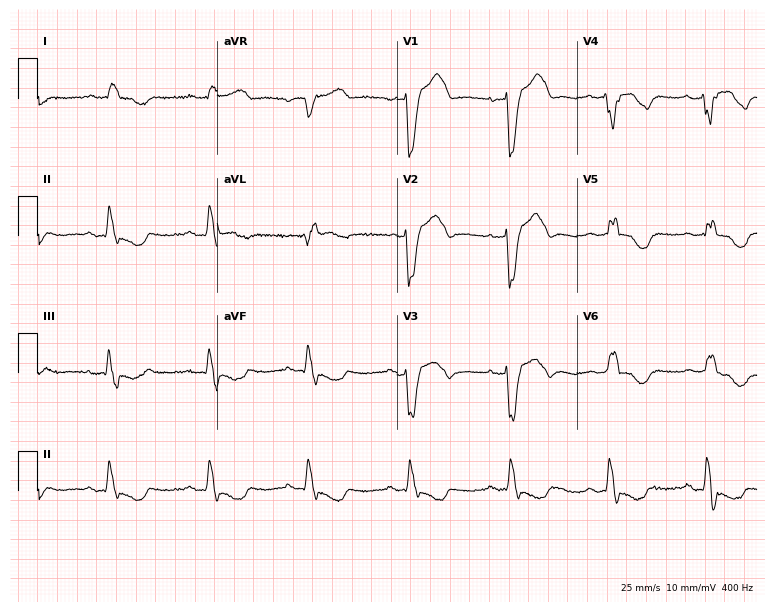
ECG — a 76-year-old man. Findings include left bundle branch block.